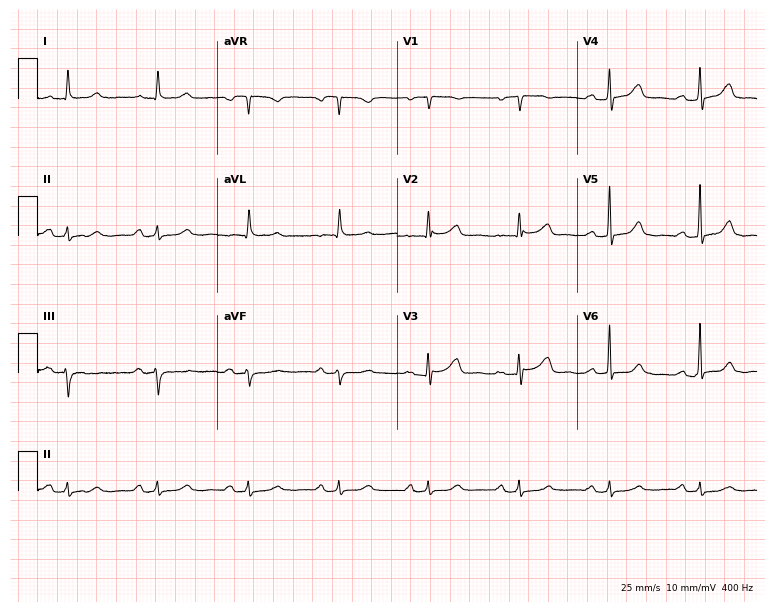
Standard 12-lead ECG recorded from a woman, 63 years old (7.3-second recording at 400 Hz). Read as a normal ECG.